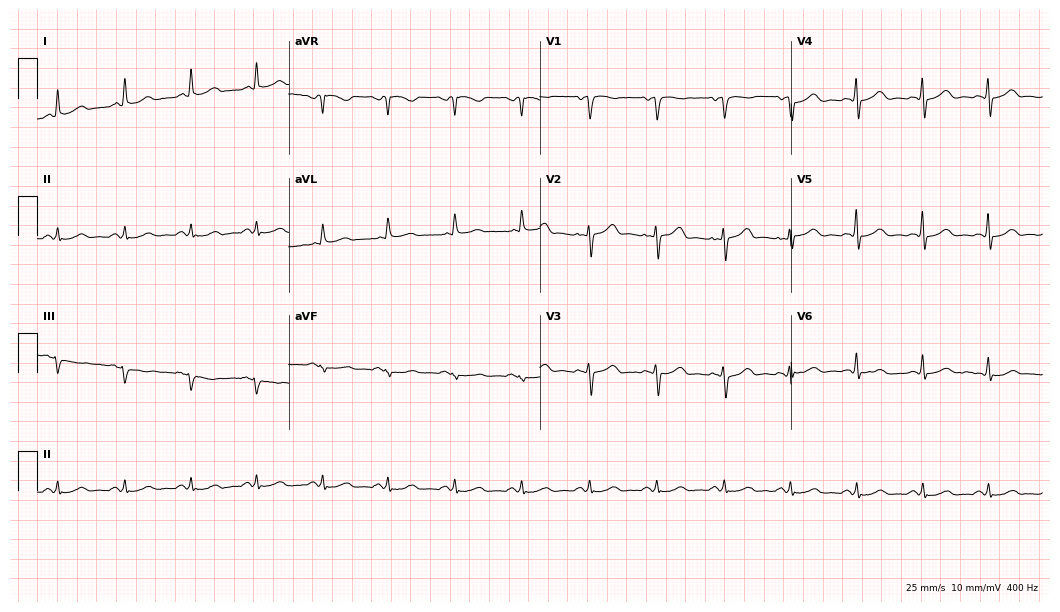
12-lead ECG from a 54-year-old man. Recorded interpretation: within normal limits.